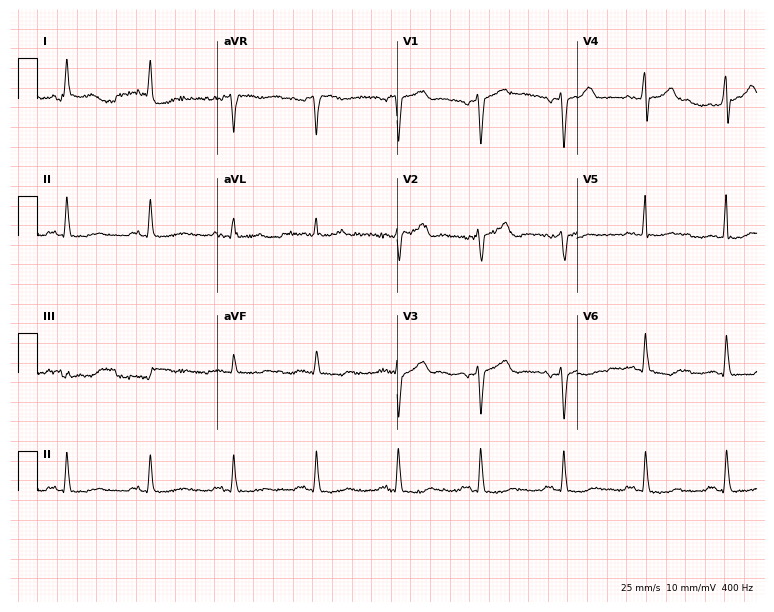
12-lead ECG (7.3-second recording at 400 Hz) from a male patient, 47 years old. Labelled as a normal ECG.